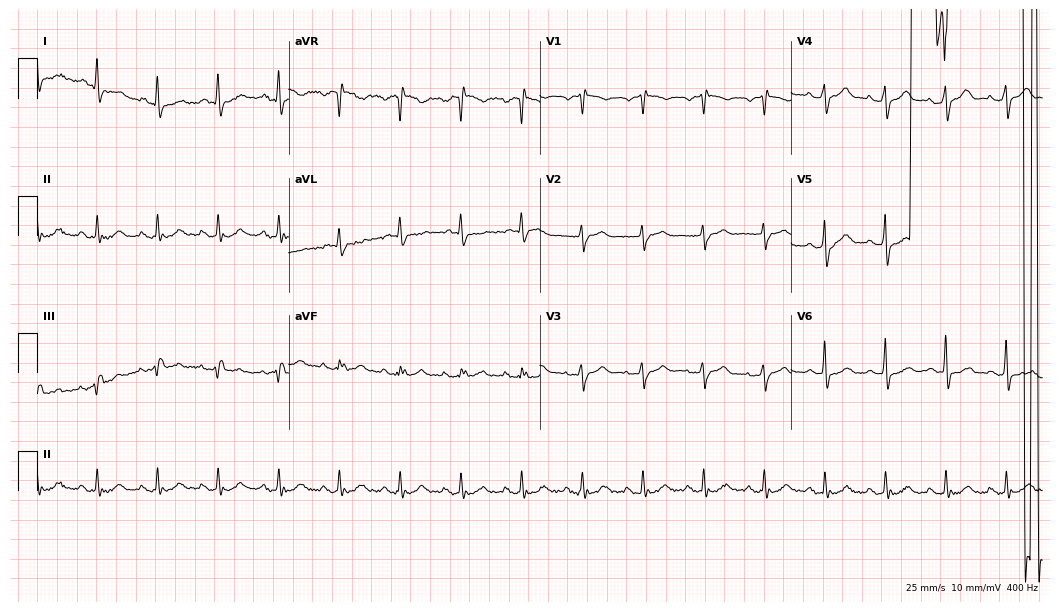
12-lead ECG from a 58-year-old female patient. No first-degree AV block, right bundle branch block, left bundle branch block, sinus bradycardia, atrial fibrillation or sinus tachycardia recorded for this tracing.